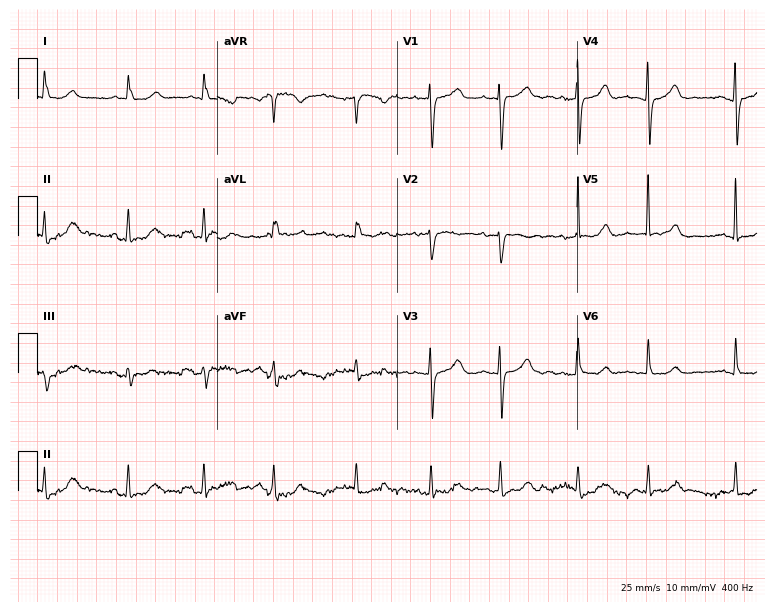
ECG (7.3-second recording at 400 Hz) — a female, 83 years old. Screened for six findings — first-degree AV block, right bundle branch block, left bundle branch block, sinus bradycardia, atrial fibrillation, sinus tachycardia — none is recorded.